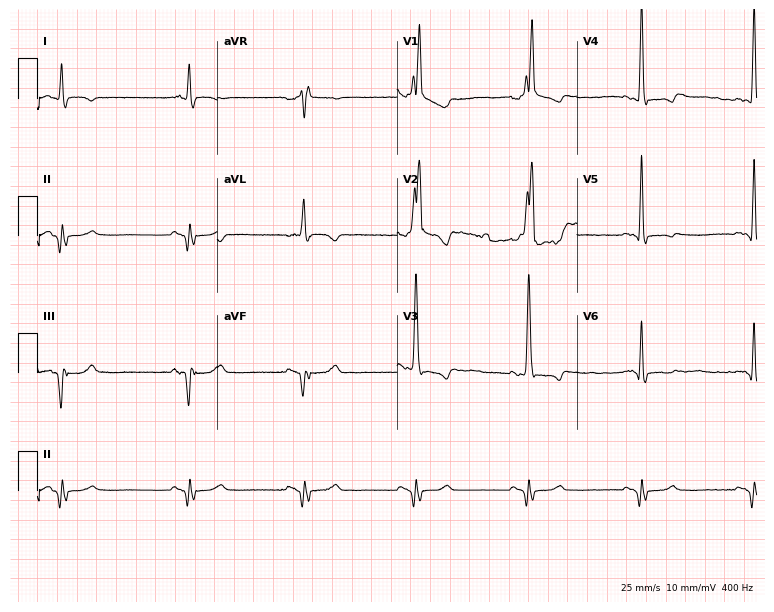
Standard 12-lead ECG recorded from a 76-year-old male patient. None of these six findings is recorded: first-degree AV block, right bundle branch block, left bundle branch block, sinus bradycardia, atrial fibrillation, sinus tachycardia. Only these six findings were labelled.